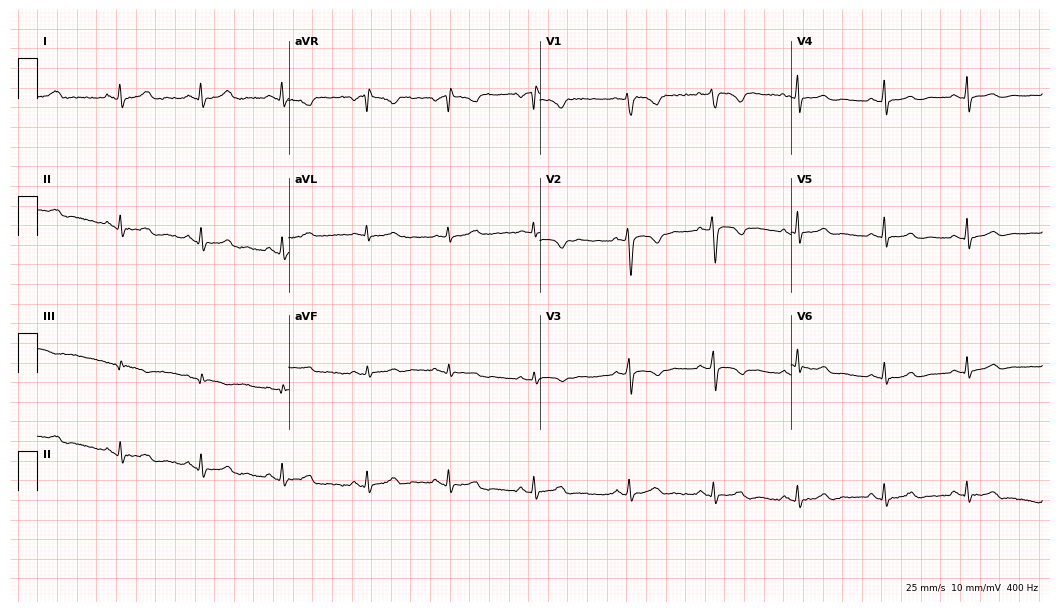
12-lead ECG from a 40-year-old female. Labelled as a normal ECG.